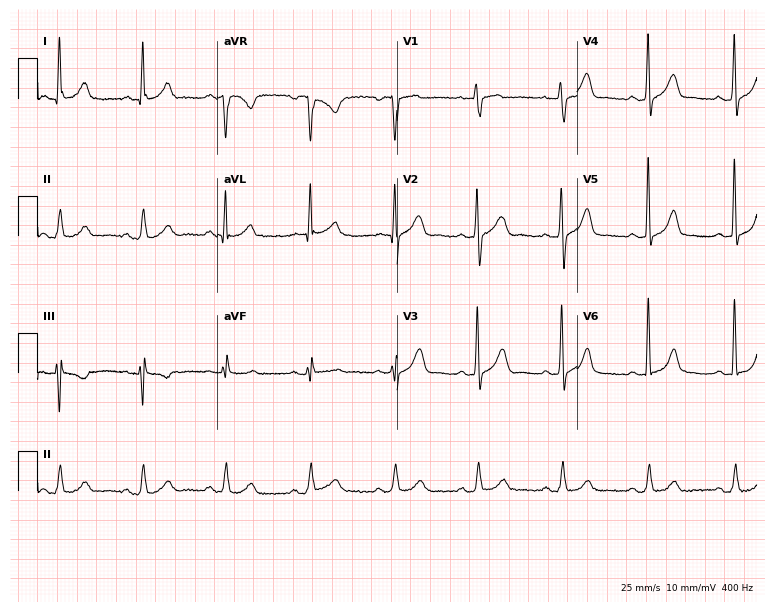
Electrocardiogram, a 66-year-old male patient. Overall reading on record: normal ECG.